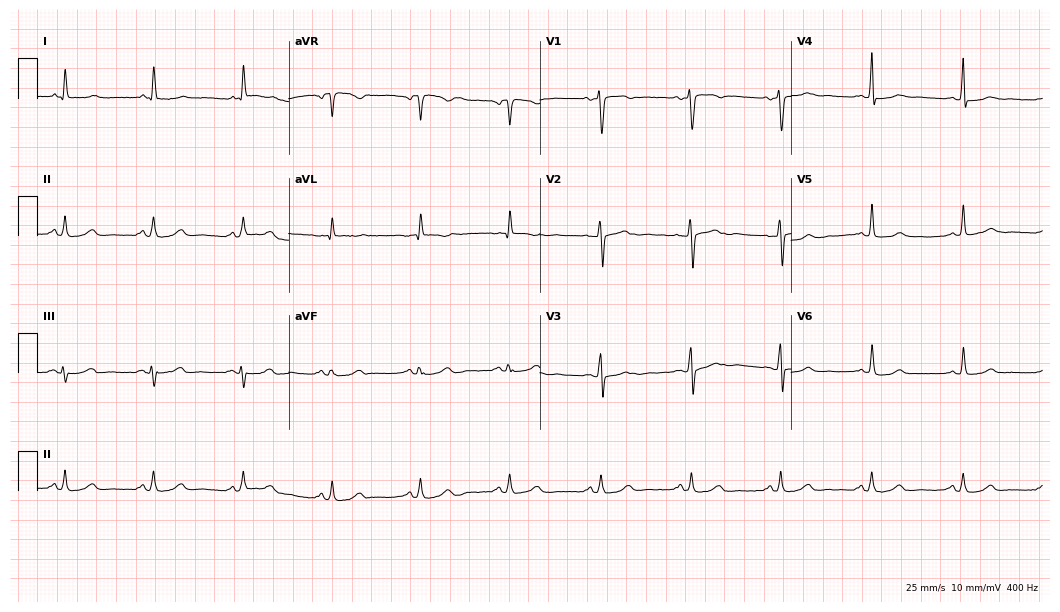
12-lead ECG (10.2-second recording at 400 Hz) from a female, 54 years old. Labelled as a normal ECG.